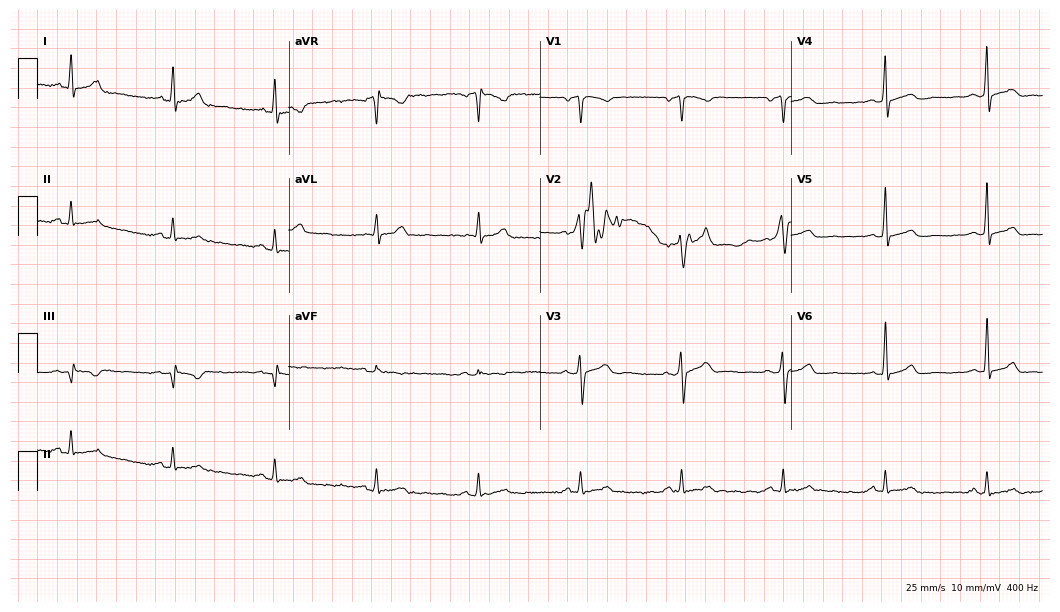
Resting 12-lead electrocardiogram. Patient: a man, 61 years old. None of these six findings is recorded: first-degree AV block, right bundle branch block (RBBB), left bundle branch block (LBBB), sinus bradycardia, atrial fibrillation (AF), sinus tachycardia.